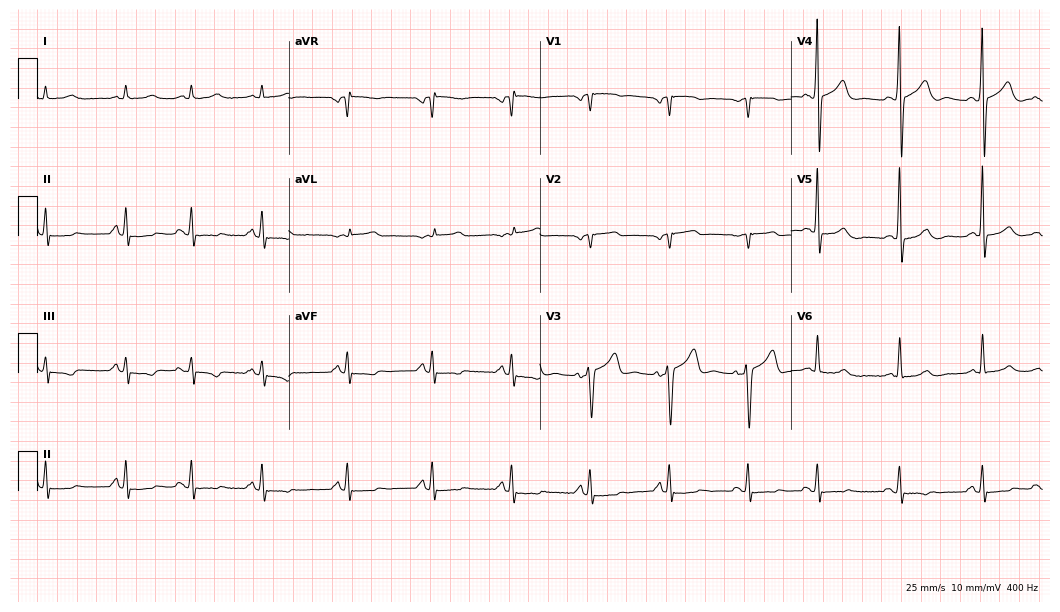
Standard 12-lead ECG recorded from a man, 70 years old. Read as a normal ECG.